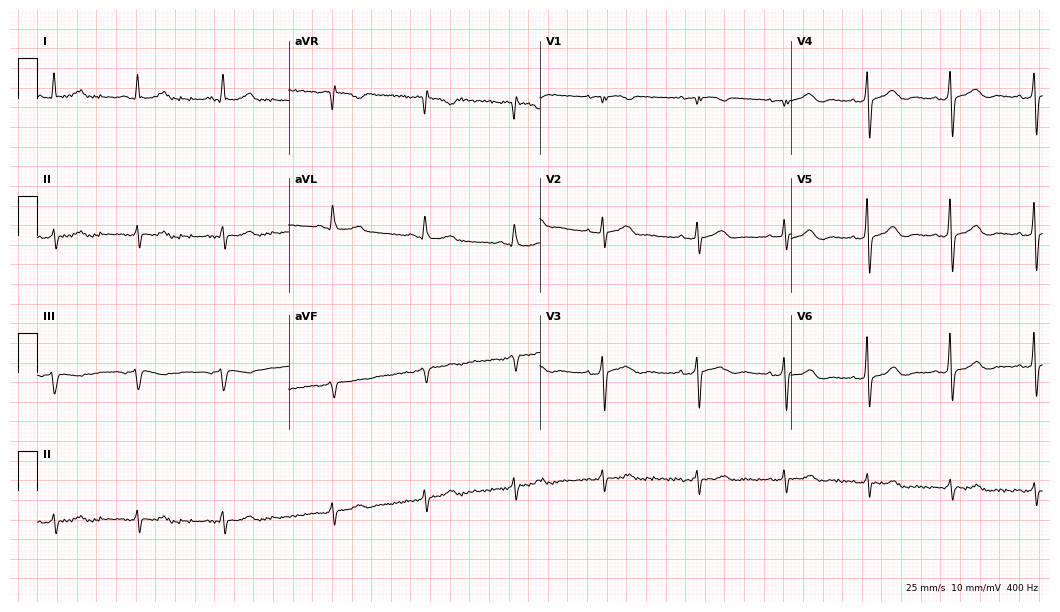
12-lead ECG from a female patient, 81 years old. Screened for six findings — first-degree AV block, right bundle branch block (RBBB), left bundle branch block (LBBB), sinus bradycardia, atrial fibrillation (AF), sinus tachycardia — none is recorded.